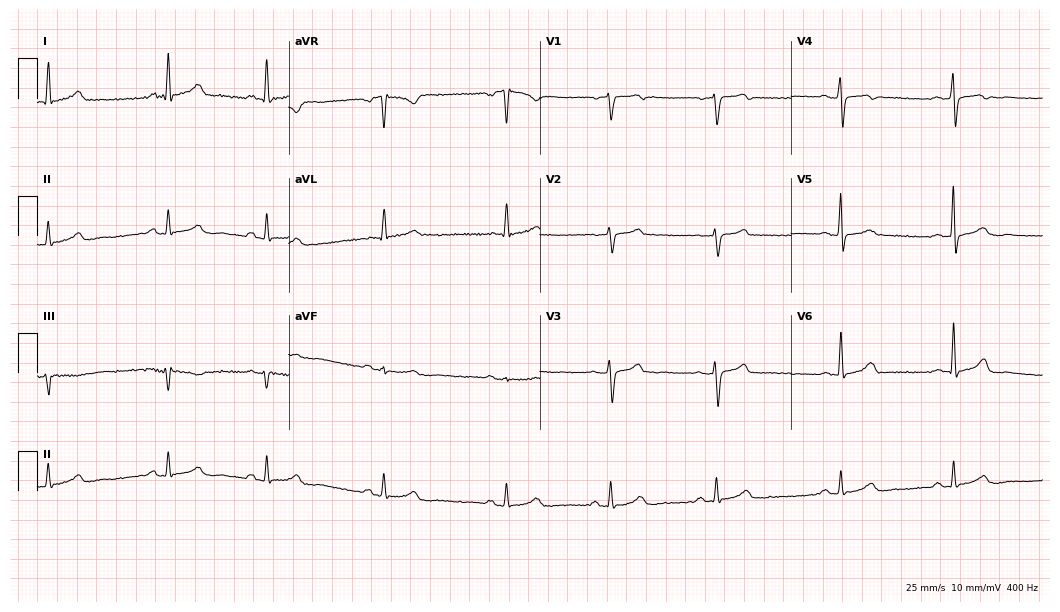
Standard 12-lead ECG recorded from a female, 53 years old (10.2-second recording at 400 Hz). Read as a normal ECG.